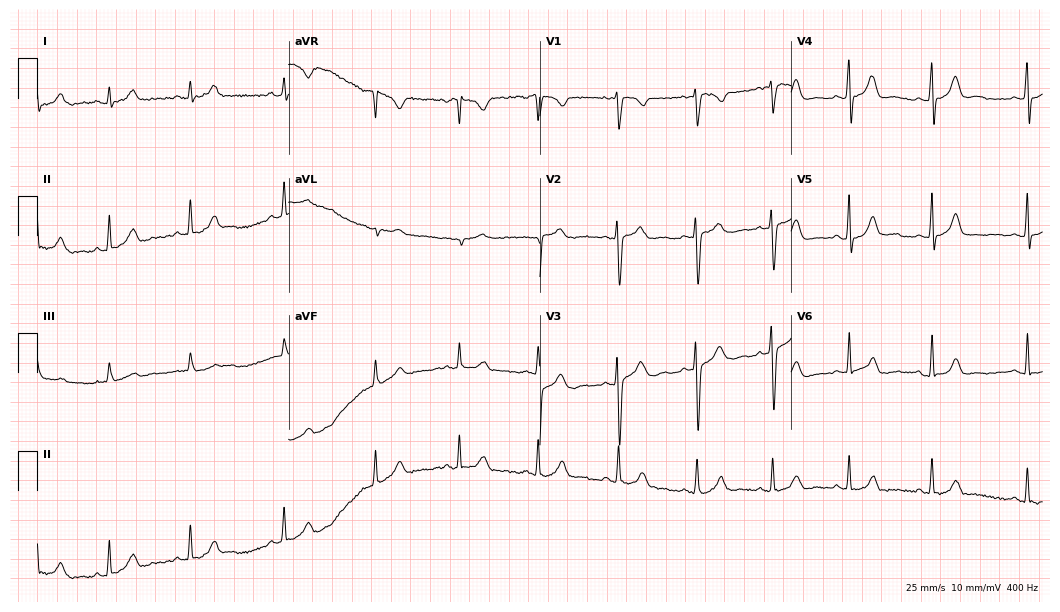
ECG (10.2-second recording at 400 Hz) — a 17-year-old female patient. Labelled as a normal ECG.